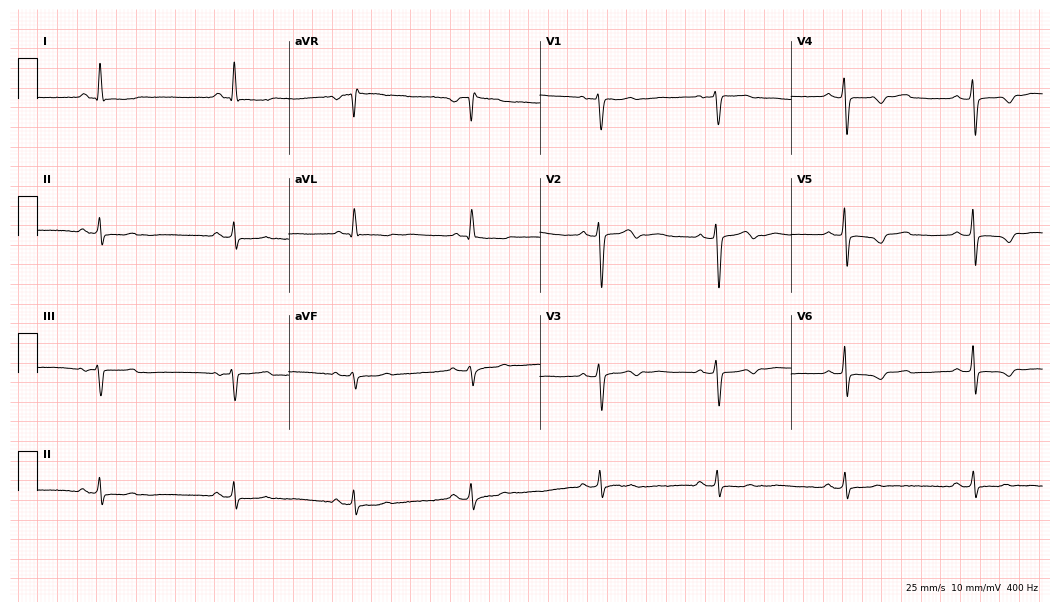
Electrocardiogram (10.2-second recording at 400 Hz), a 53-year-old female. Of the six screened findings (first-degree AV block, right bundle branch block, left bundle branch block, sinus bradycardia, atrial fibrillation, sinus tachycardia), none is recorded.